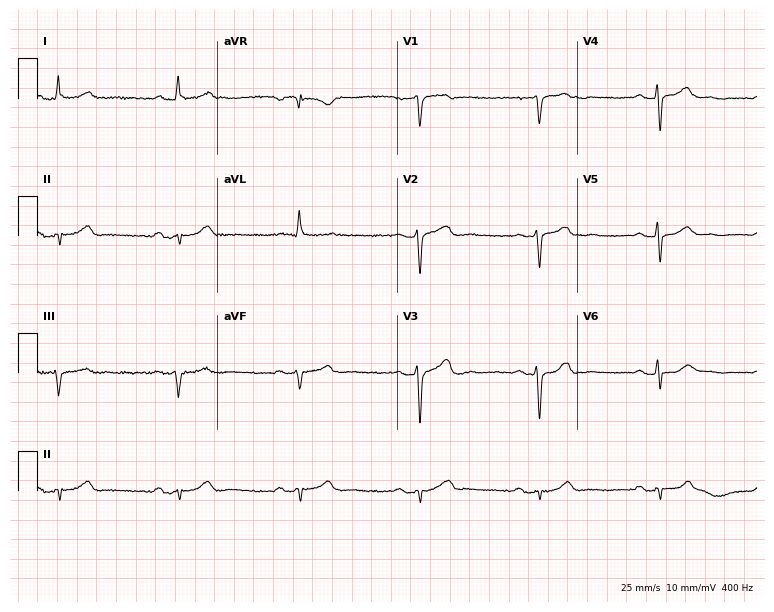
Resting 12-lead electrocardiogram (7.3-second recording at 400 Hz). Patient: a male, 76 years old. The tracing shows sinus bradycardia (a sinus rate of 50 beats per minute or less).